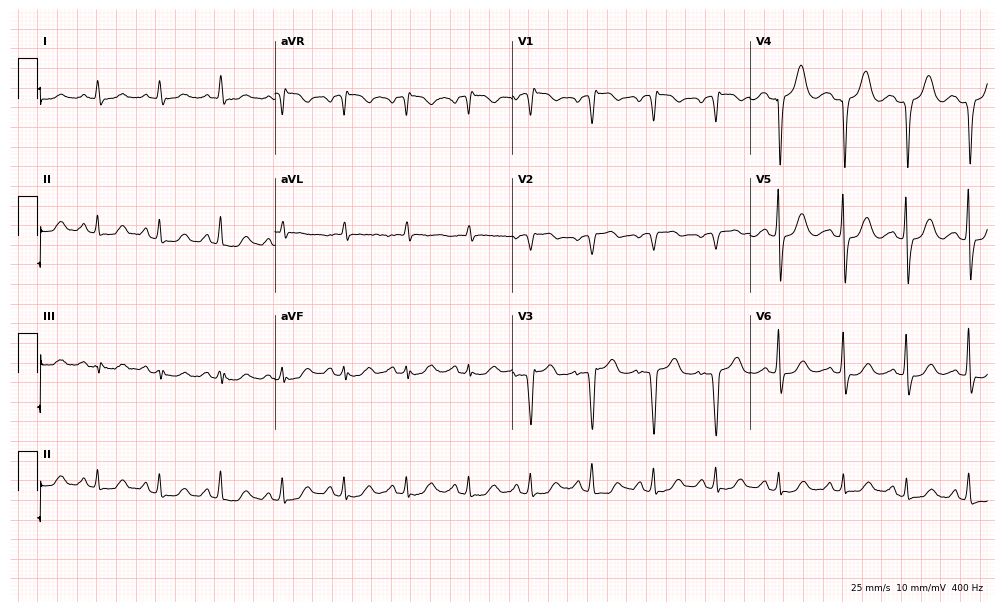
Standard 12-lead ECG recorded from a female patient, 77 years old. None of these six findings is recorded: first-degree AV block, right bundle branch block (RBBB), left bundle branch block (LBBB), sinus bradycardia, atrial fibrillation (AF), sinus tachycardia.